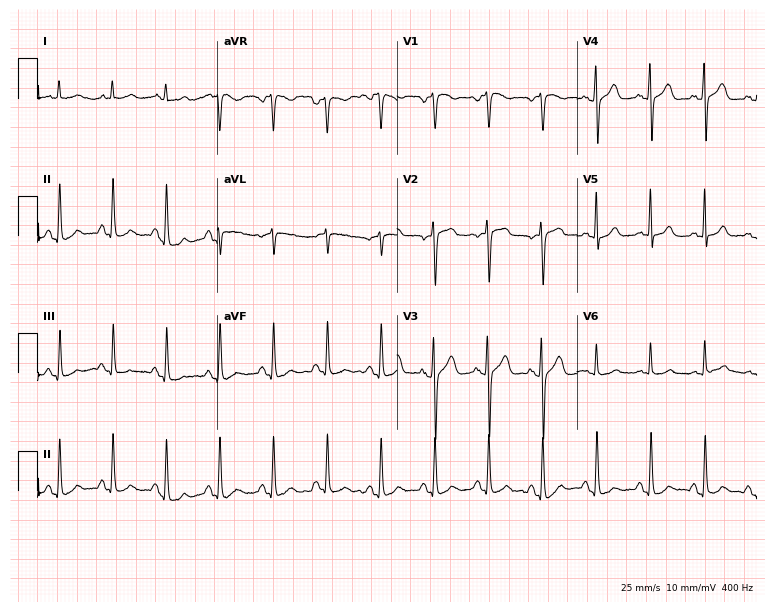
Resting 12-lead electrocardiogram. Patient: a 55-year-old male. The tracing shows sinus tachycardia (a sinus rate of 100 beats per minute or more).